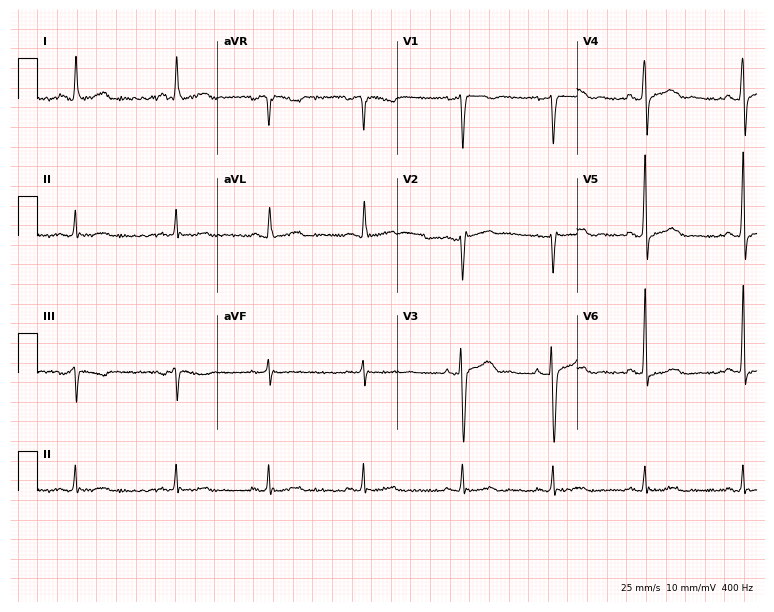
ECG (7.3-second recording at 400 Hz) — a 33-year-old male patient. Screened for six findings — first-degree AV block, right bundle branch block, left bundle branch block, sinus bradycardia, atrial fibrillation, sinus tachycardia — none is recorded.